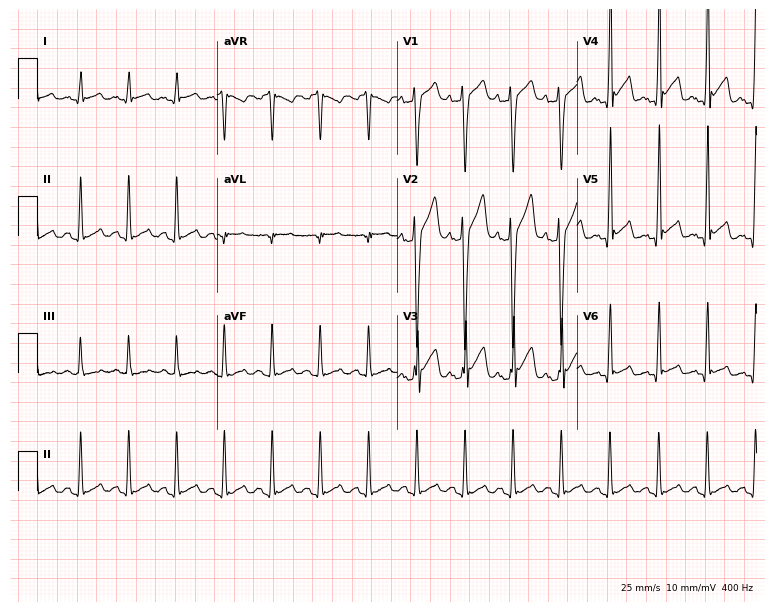
12-lead ECG (7.3-second recording at 400 Hz) from a 47-year-old man. Findings include sinus tachycardia (a sinus rate of 100 beats per minute or more).